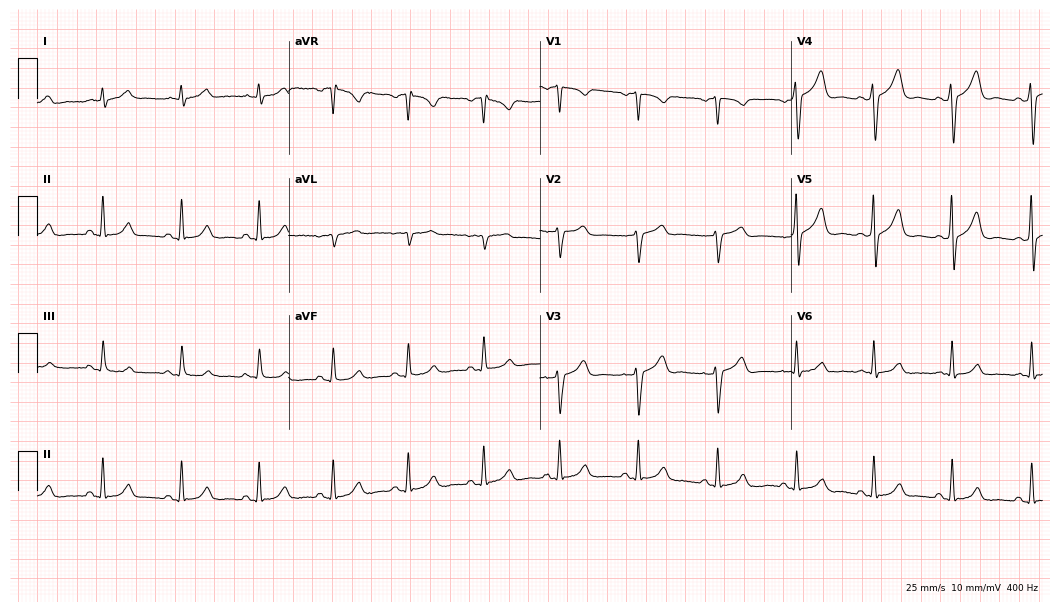
Electrocardiogram (10.2-second recording at 400 Hz), a 53-year-old male patient. Overall reading on record: normal ECG.